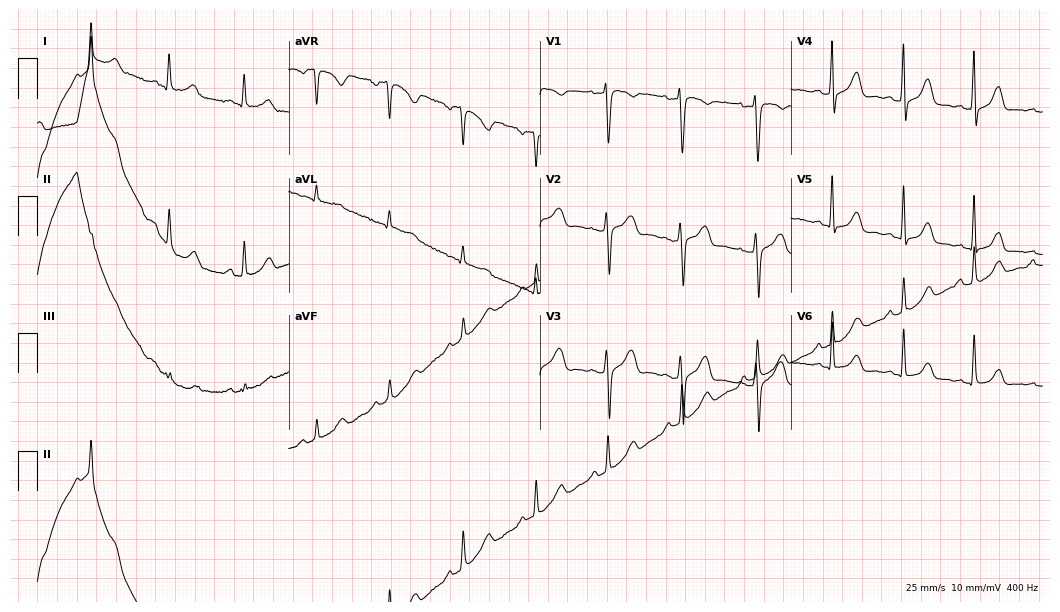
12-lead ECG from a 33-year-old woman. Screened for six findings — first-degree AV block, right bundle branch block, left bundle branch block, sinus bradycardia, atrial fibrillation, sinus tachycardia — none is recorded.